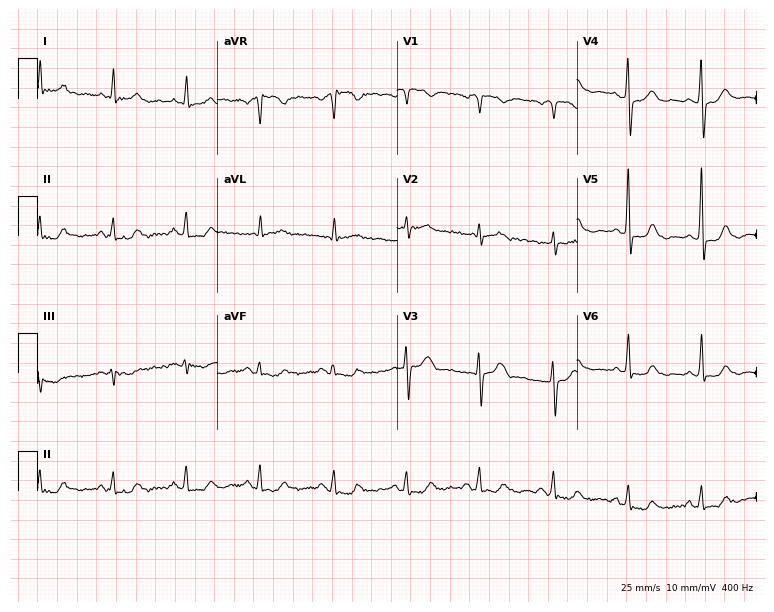
Resting 12-lead electrocardiogram. Patient: a 74-year-old woman. None of these six findings is recorded: first-degree AV block, right bundle branch block, left bundle branch block, sinus bradycardia, atrial fibrillation, sinus tachycardia. Findings outside these six are not listed.